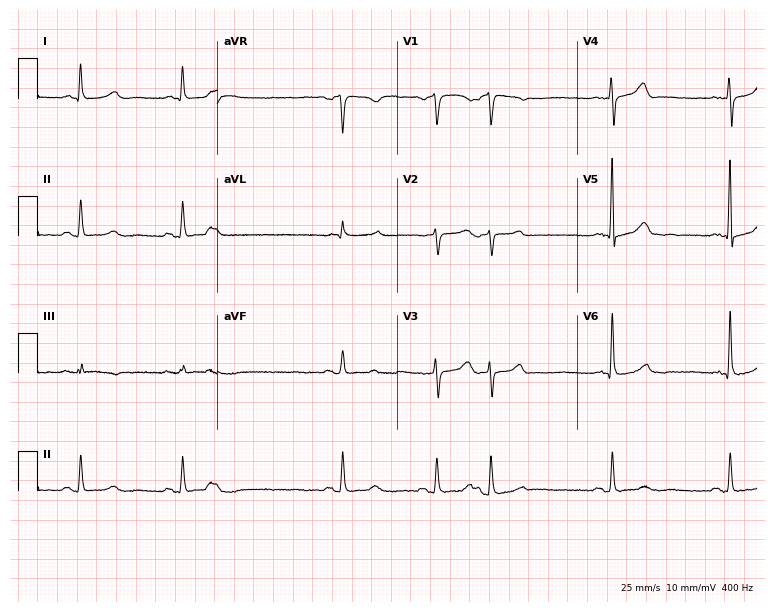
12-lead ECG (7.3-second recording at 400 Hz) from a male, 68 years old. Screened for six findings — first-degree AV block, right bundle branch block, left bundle branch block, sinus bradycardia, atrial fibrillation, sinus tachycardia — none is recorded.